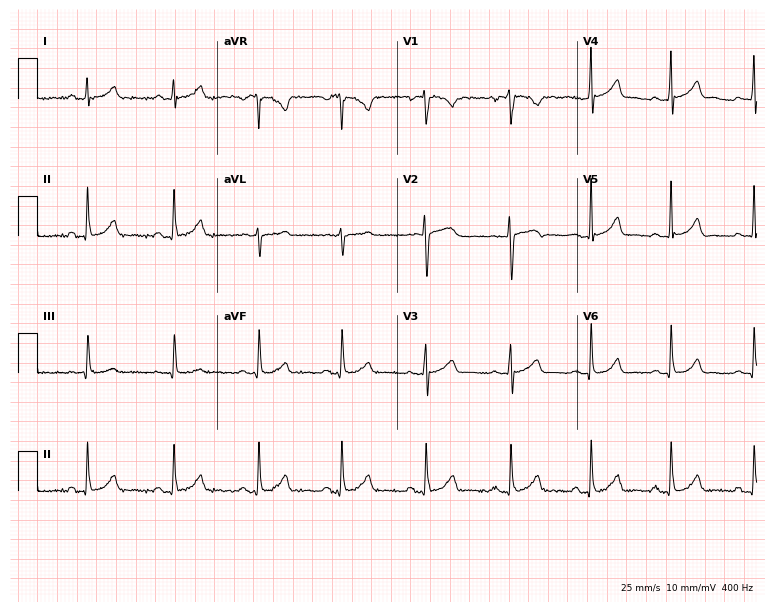
Resting 12-lead electrocardiogram. Patient: a 29-year-old female. Read as a normal ECG.